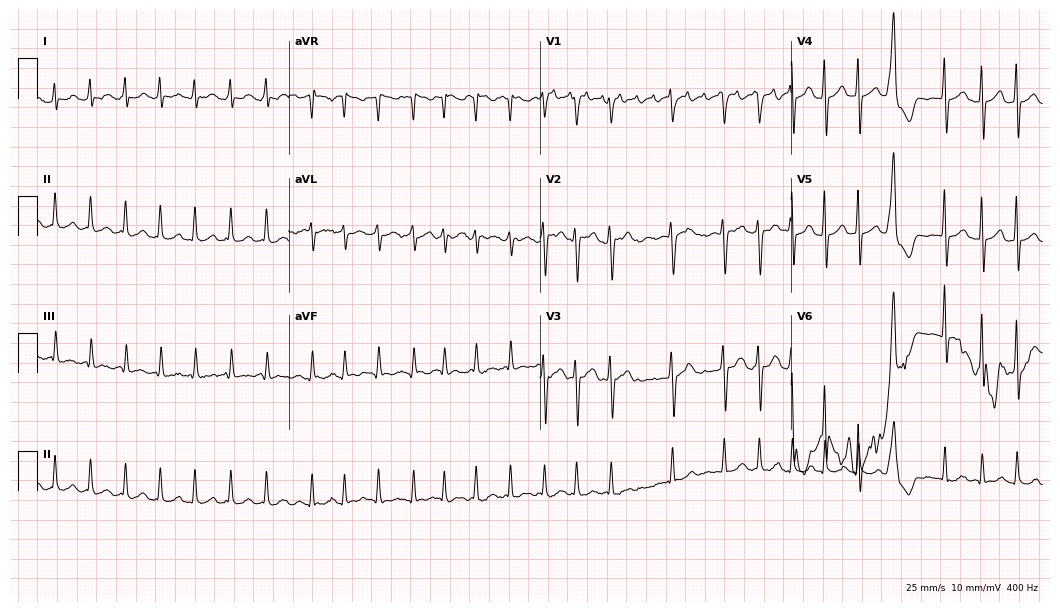
Standard 12-lead ECG recorded from a woman, 51 years old (10.2-second recording at 400 Hz). The tracing shows sinus tachycardia (a sinus rate of 100 beats per minute or more).